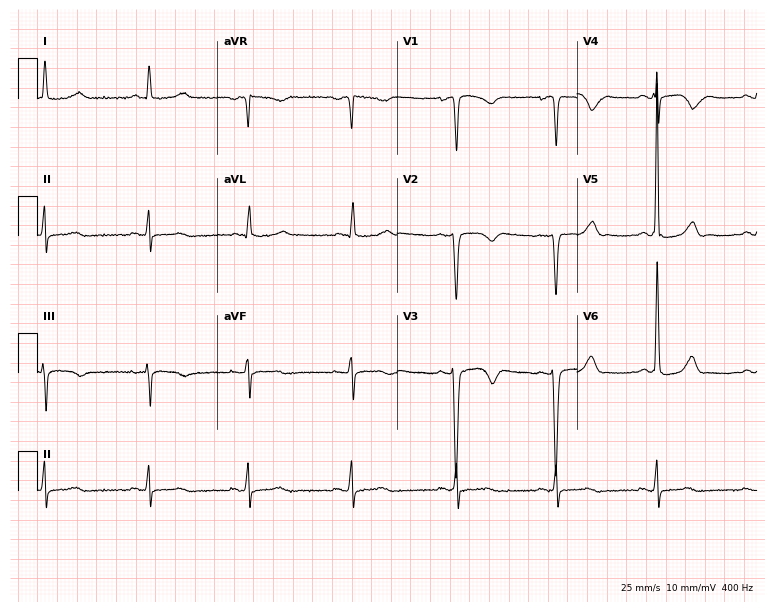
Resting 12-lead electrocardiogram. Patient: a woman, 82 years old. Read as a normal ECG.